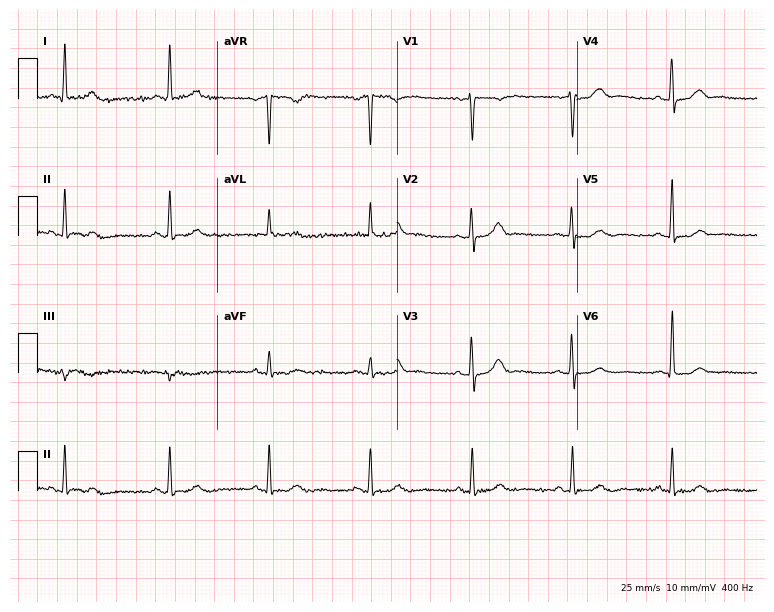
Standard 12-lead ECG recorded from a 58-year-old woman. None of these six findings is recorded: first-degree AV block, right bundle branch block, left bundle branch block, sinus bradycardia, atrial fibrillation, sinus tachycardia.